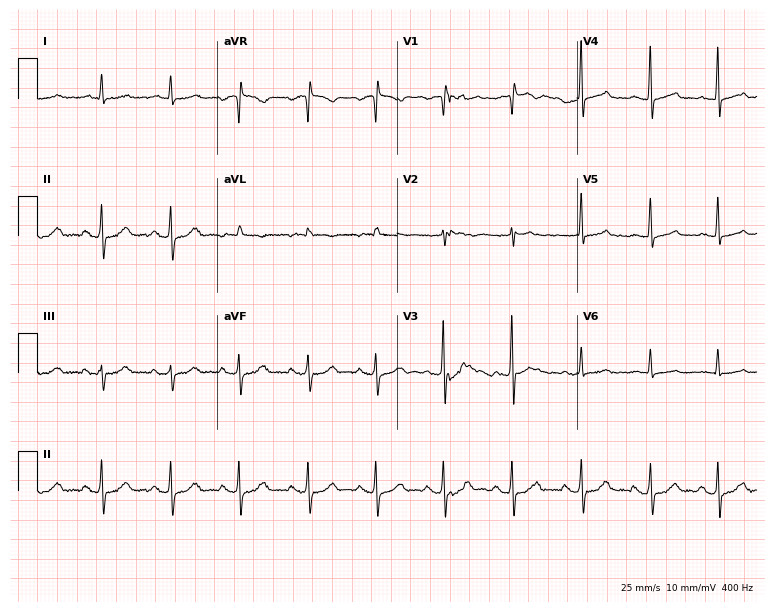
12-lead ECG from a man, 81 years old (7.3-second recording at 400 Hz). Recorded interpretation: within normal limits.